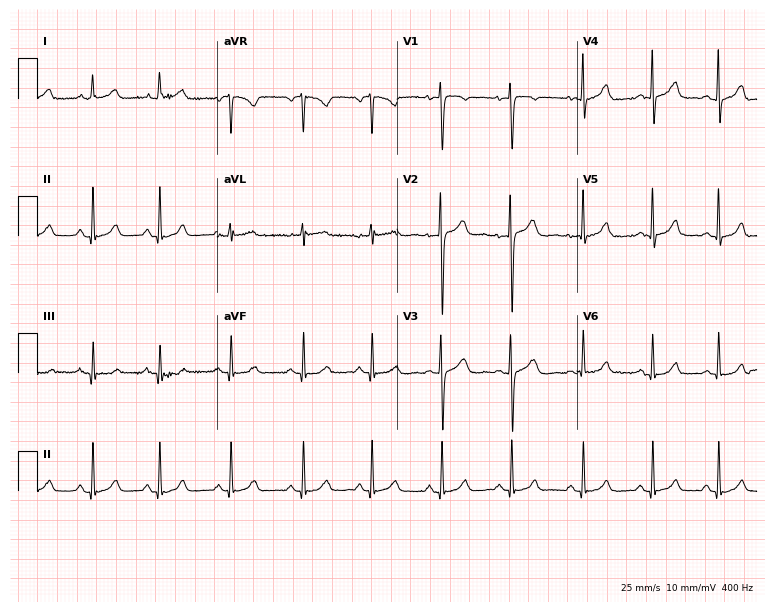
Resting 12-lead electrocardiogram. Patient: a female, 32 years old. None of these six findings is recorded: first-degree AV block, right bundle branch block, left bundle branch block, sinus bradycardia, atrial fibrillation, sinus tachycardia.